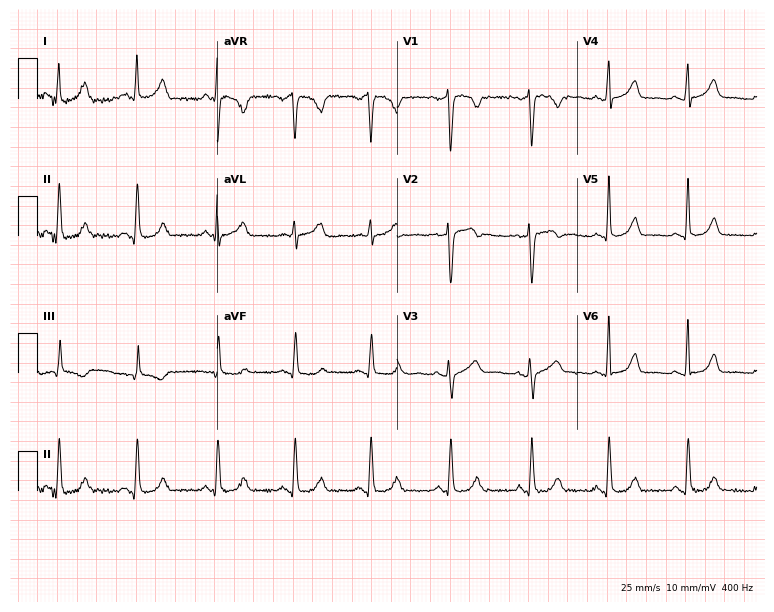
Standard 12-lead ECG recorded from a 53-year-old female (7.3-second recording at 400 Hz). Read as a normal ECG.